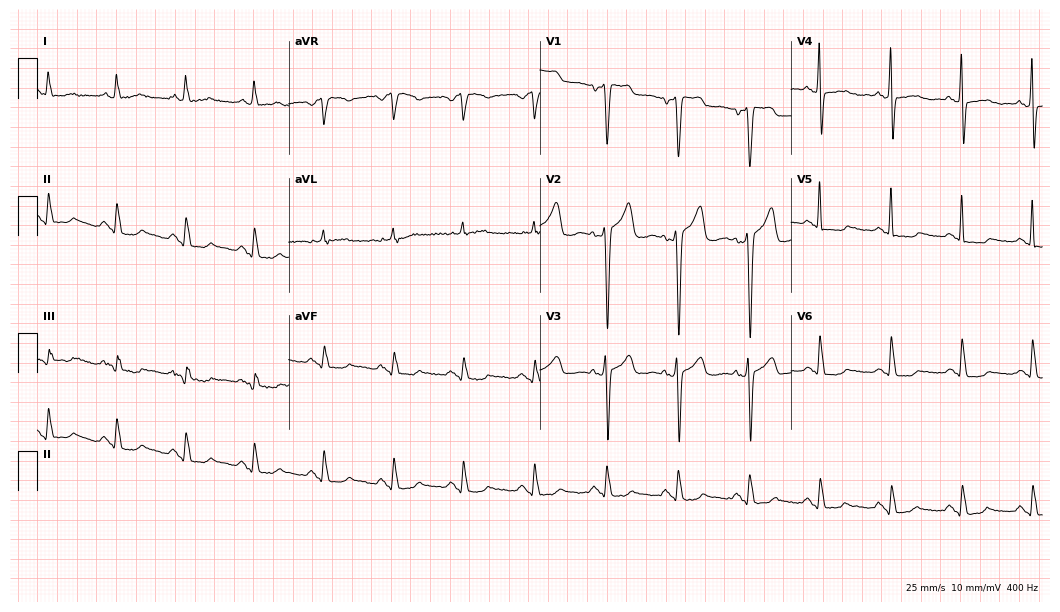
12-lead ECG from a man, 66 years old. Screened for six findings — first-degree AV block, right bundle branch block, left bundle branch block, sinus bradycardia, atrial fibrillation, sinus tachycardia — none is recorded. Findings outside these six are not listed.